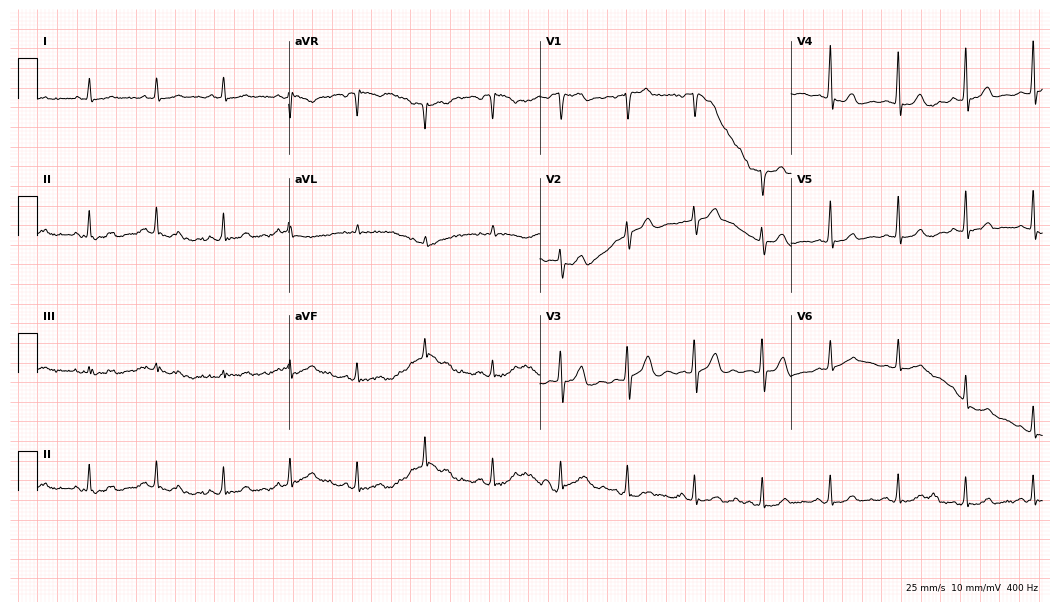
ECG (10.2-second recording at 400 Hz) — a male patient, 70 years old. Screened for six findings — first-degree AV block, right bundle branch block, left bundle branch block, sinus bradycardia, atrial fibrillation, sinus tachycardia — none is recorded.